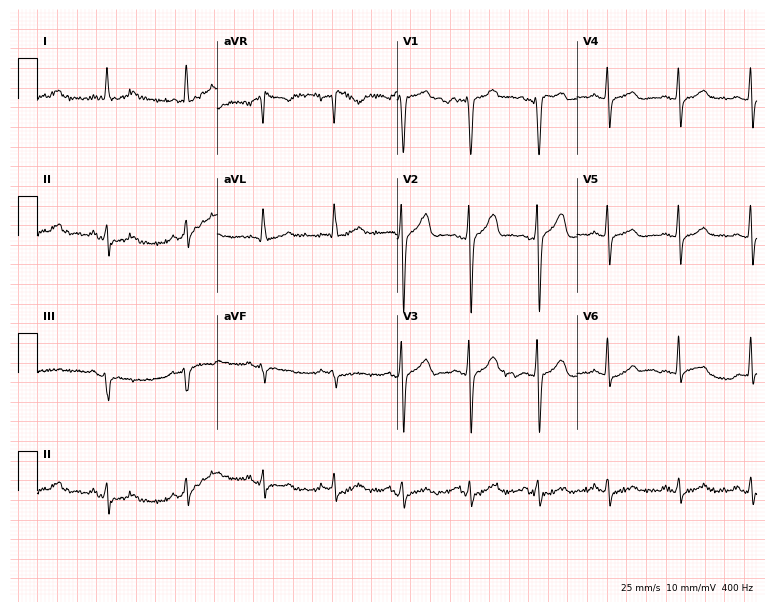
Resting 12-lead electrocardiogram (7.3-second recording at 400 Hz). Patient: a male, 41 years old. Read as a normal ECG.